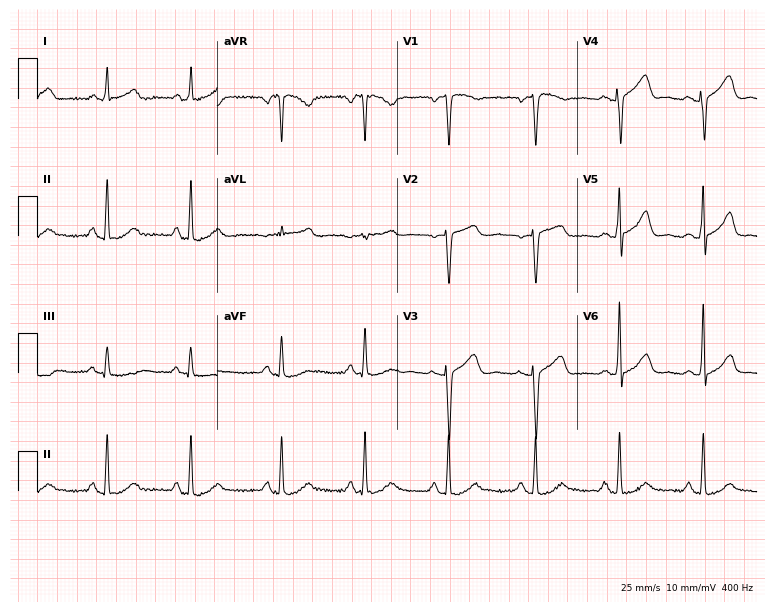
12-lead ECG from a woman, 59 years old (7.3-second recording at 400 Hz). Recorded interpretation: within normal limits.